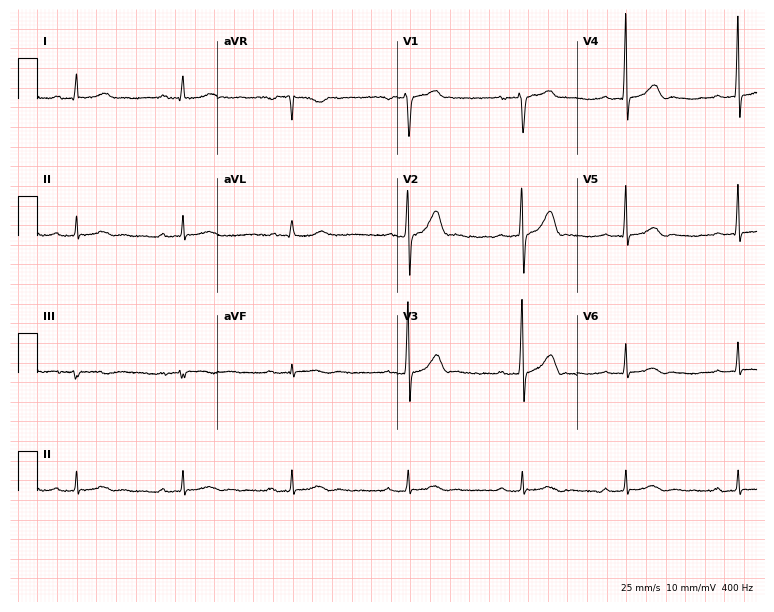
Electrocardiogram (7.3-second recording at 400 Hz), a 37-year-old male patient. Interpretation includes first-degree AV block.